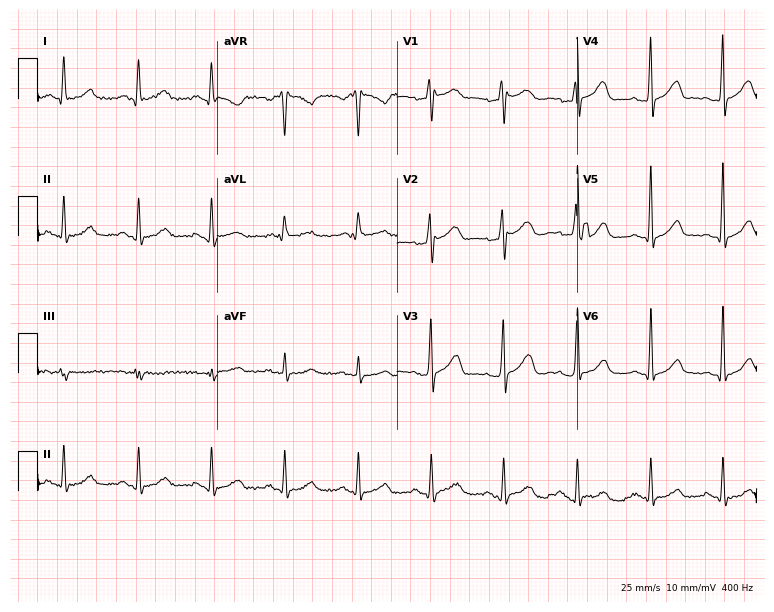
Standard 12-lead ECG recorded from a 36-year-old male patient. None of these six findings is recorded: first-degree AV block, right bundle branch block, left bundle branch block, sinus bradycardia, atrial fibrillation, sinus tachycardia. Other findings, if any, are not listed.